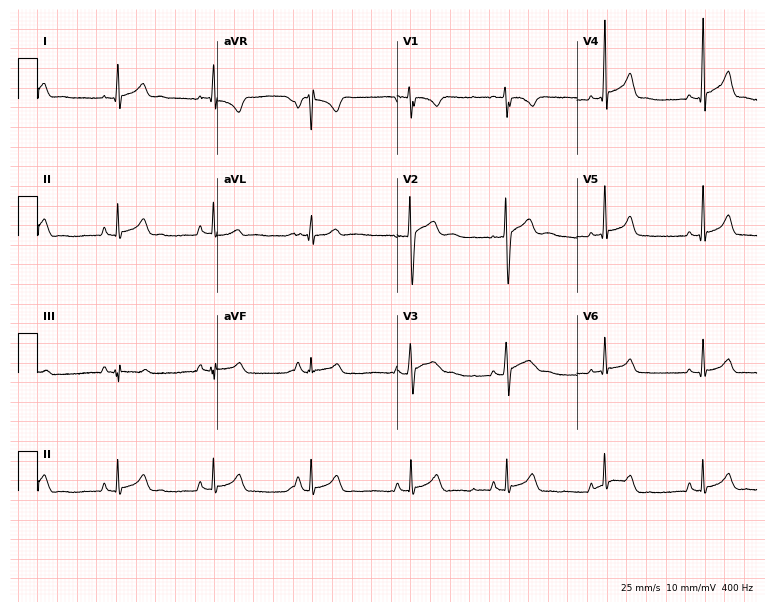
ECG — a 20-year-old male. Screened for six findings — first-degree AV block, right bundle branch block, left bundle branch block, sinus bradycardia, atrial fibrillation, sinus tachycardia — none is recorded.